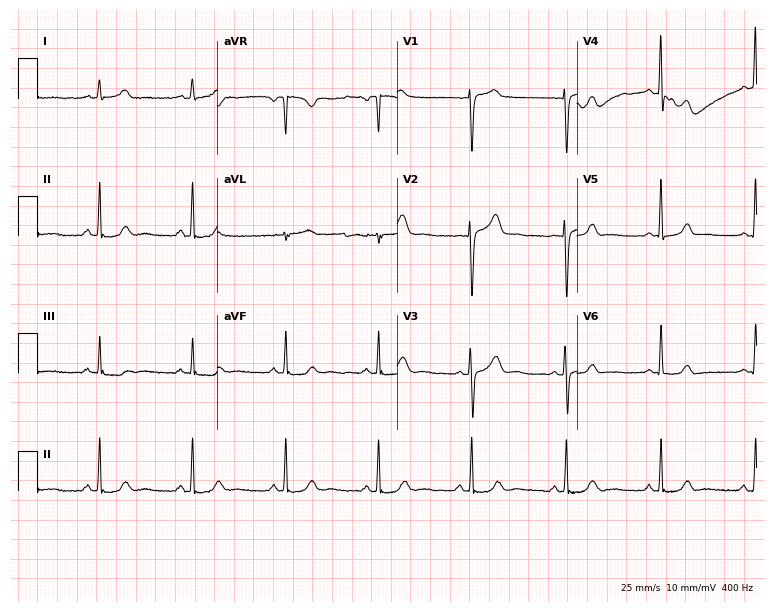
Electrocardiogram, a female patient, 45 years old. Of the six screened findings (first-degree AV block, right bundle branch block, left bundle branch block, sinus bradycardia, atrial fibrillation, sinus tachycardia), none is recorded. Findings outside these six are not listed.